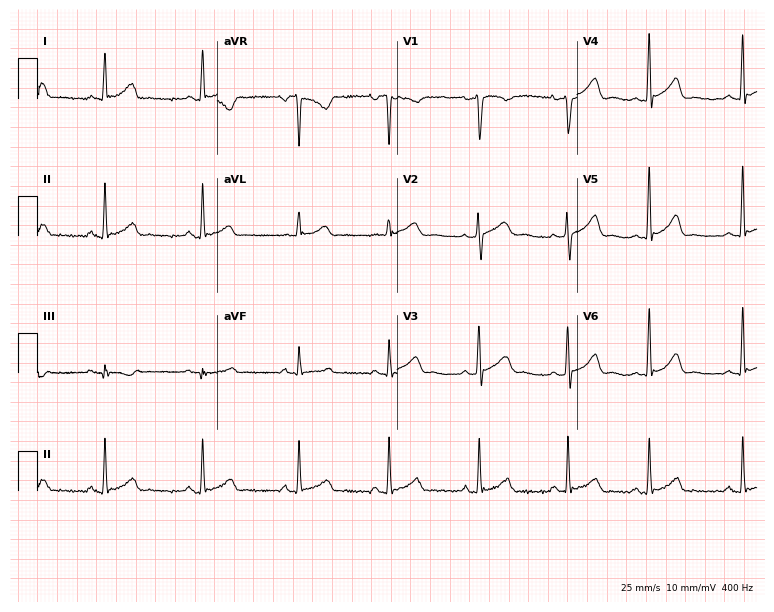
Standard 12-lead ECG recorded from a 36-year-old female (7.3-second recording at 400 Hz). Read as a normal ECG.